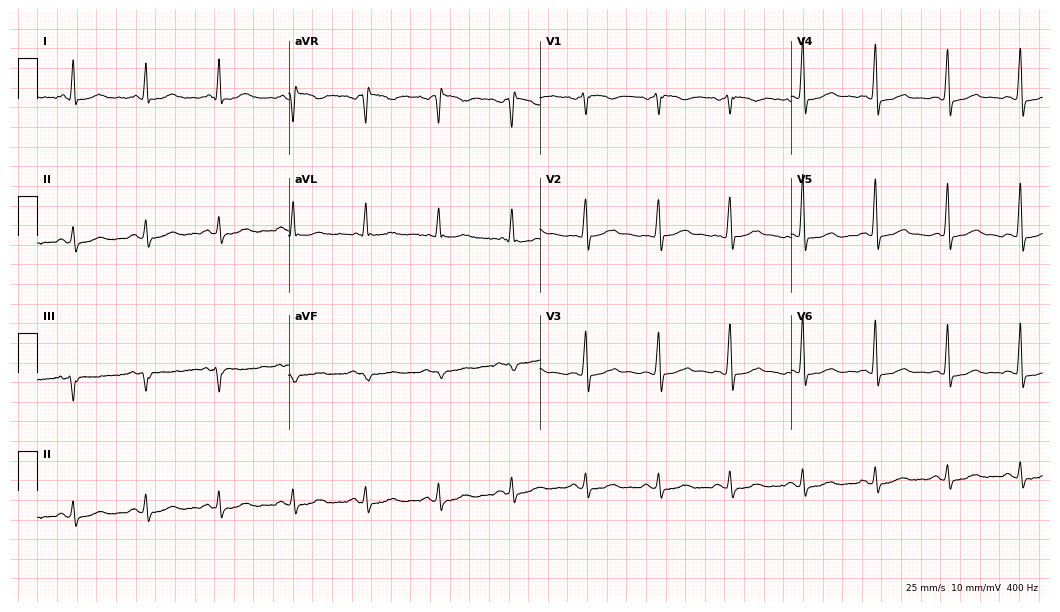
ECG — a 65-year-old male. Screened for six findings — first-degree AV block, right bundle branch block, left bundle branch block, sinus bradycardia, atrial fibrillation, sinus tachycardia — none is recorded. Only these six findings were labelled.